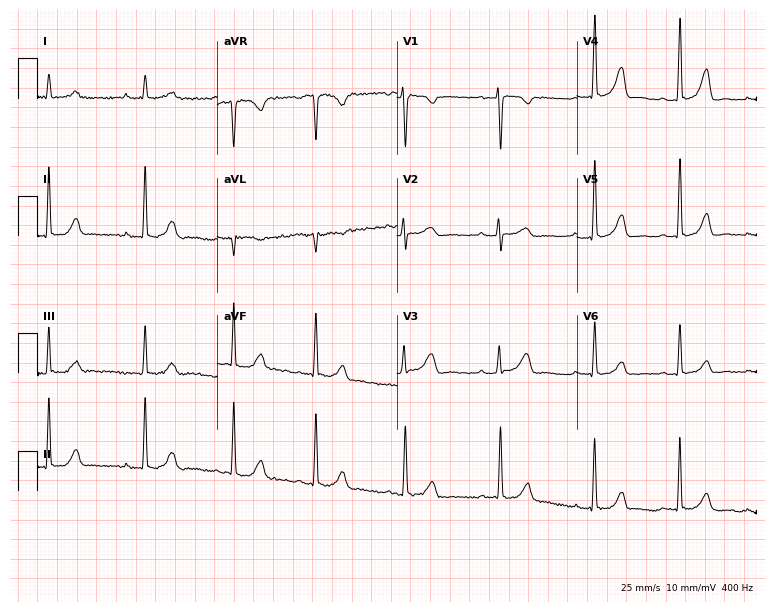
ECG — a female patient, 22 years old. Screened for six findings — first-degree AV block, right bundle branch block (RBBB), left bundle branch block (LBBB), sinus bradycardia, atrial fibrillation (AF), sinus tachycardia — none is recorded. Findings outside these six are not listed.